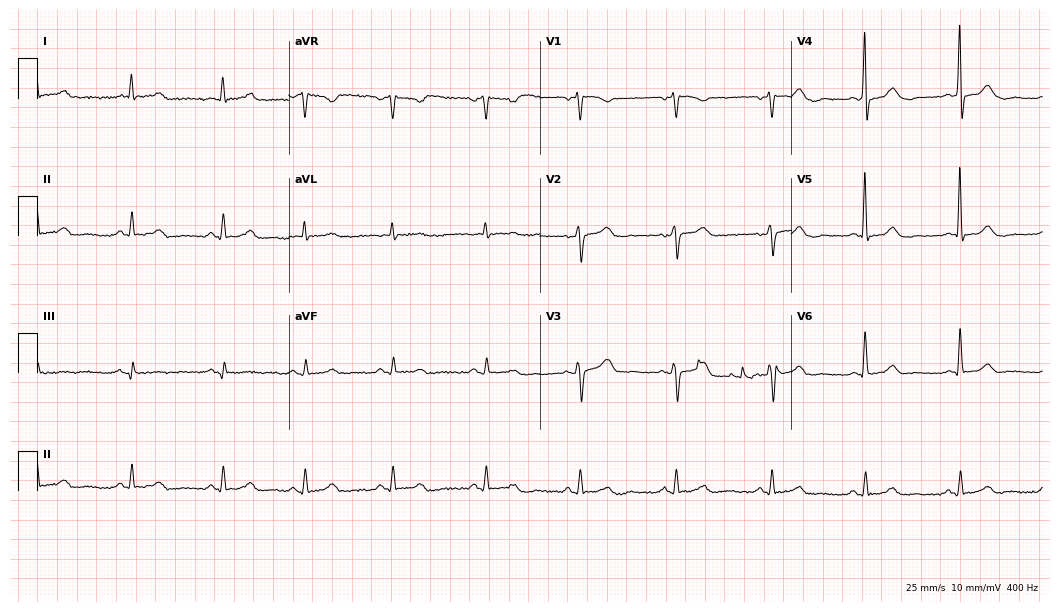
ECG (10.2-second recording at 400 Hz) — a 71-year-old man. Labelled as a normal ECG.